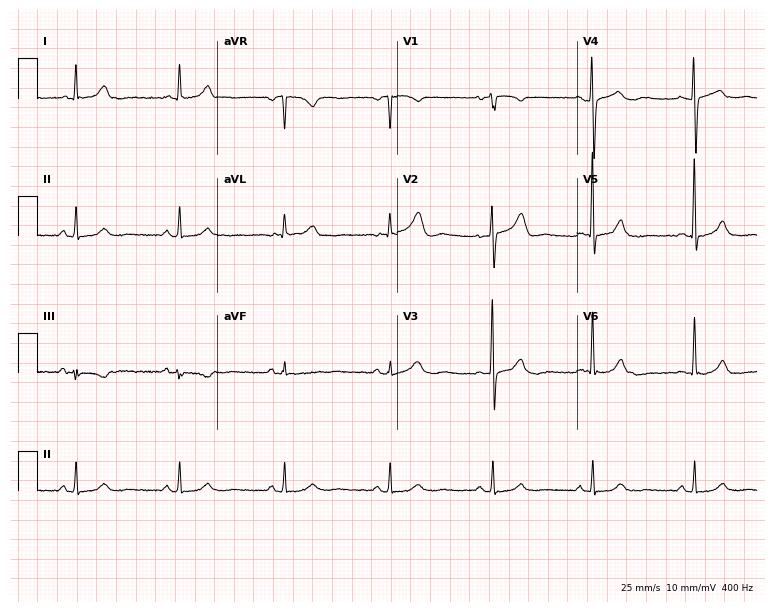
Standard 12-lead ECG recorded from a female, 64 years old. Read as a normal ECG.